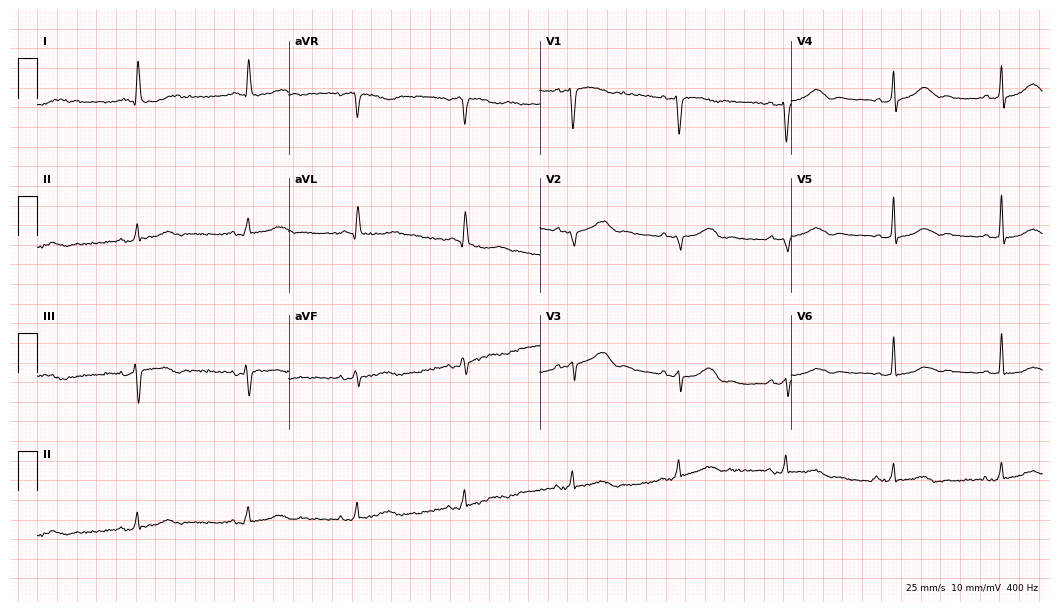
Resting 12-lead electrocardiogram (10.2-second recording at 400 Hz). Patient: a 78-year-old female. None of these six findings is recorded: first-degree AV block, right bundle branch block, left bundle branch block, sinus bradycardia, atrial fibrillation, sinus tachycardia.